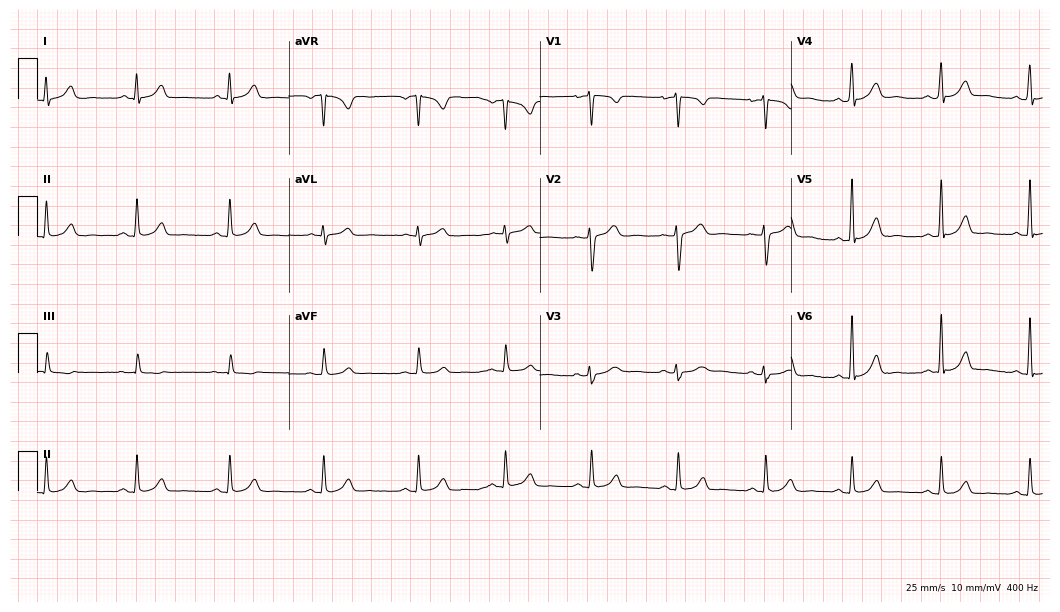
Standard 12-lead ECG recorded from a woman, 25 years old (10.2-second recording at 400 Hz). Read as a normal ECG.